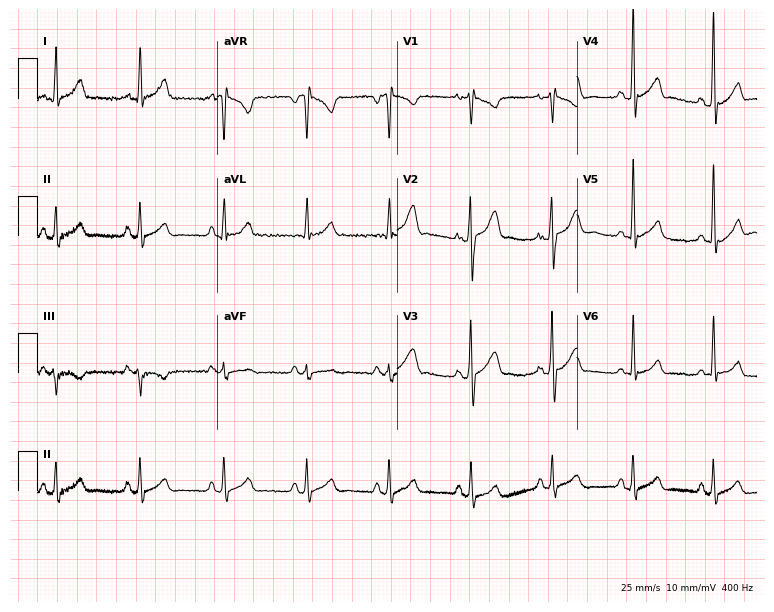
12-lead ECG from a 20-year-old male patient (7.3-second recording at 400 Hz). Recorded interpretation: within normal limits.